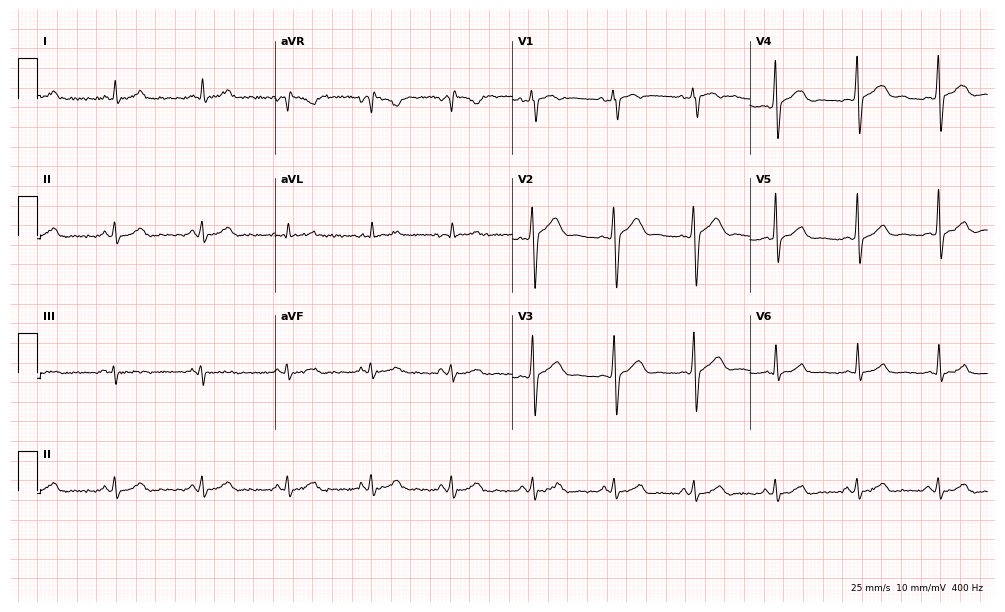
Resting 12-lead electrocardiogram (9.7-second recording at 400 Hz). Patient: a man, 43 years old. None of these six findings is recorded: first-degree AV block, right bundle branch block, left bundle branch block, sinus bradycardia, atrial fibrillation, sinus tachycardia. Findings outside these six are not listed.